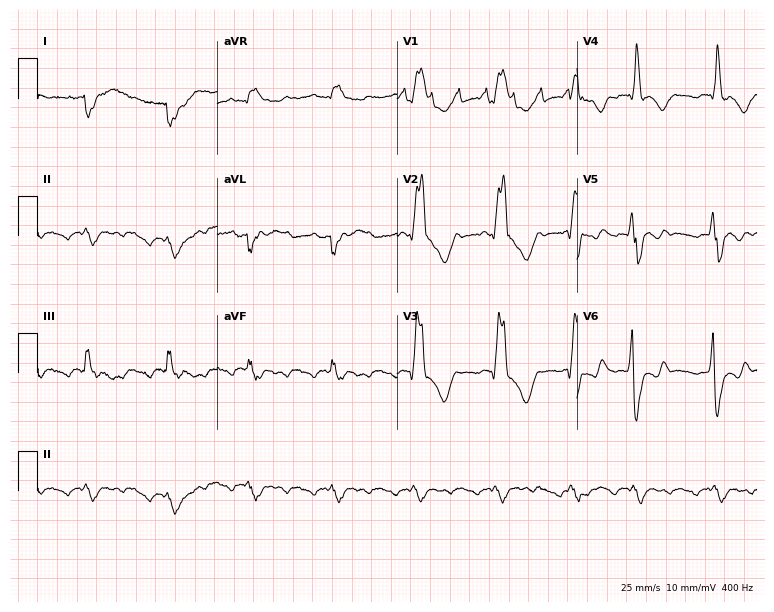
Standard 12-lead ECG recorded from a male, 31 years old (7.3-second recording at 400 Hz). The tracing shows right bundle branch block.